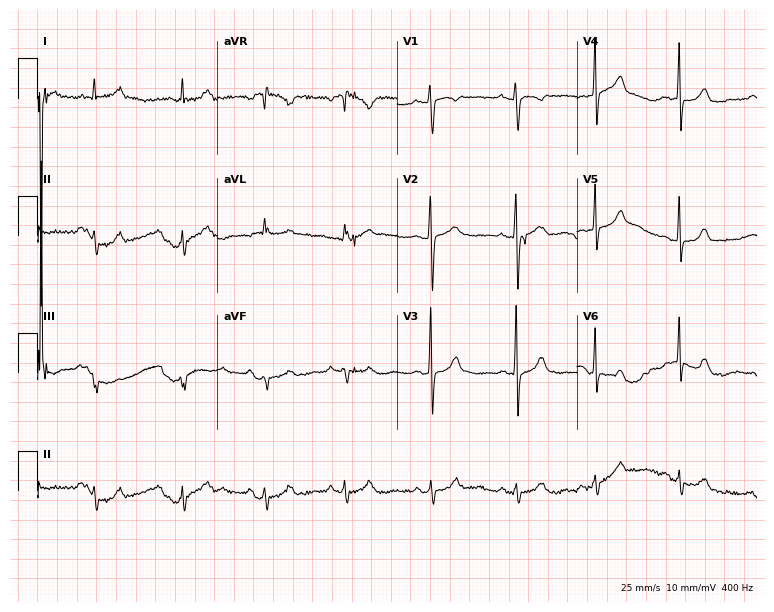
Electrocardiogram (7.3-second recording at 400 Hz), a female, 22 years old. Of the six screened findings (first-degree AV block, right bundle branch block (RBBB), left bundle branch block (LBBB), sinus bradycardia, atrial fibrillation (AF), sinus tachycardia), none is recorded.